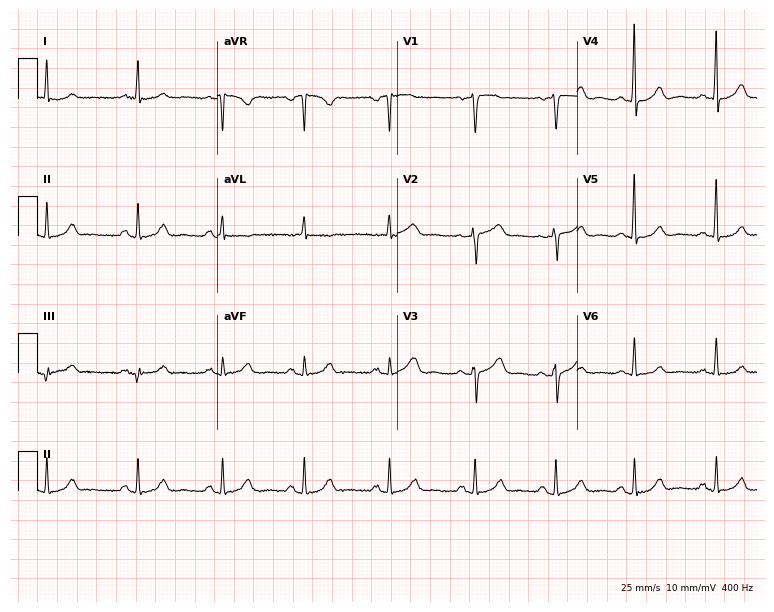
12-lead ECG (7.3-second recording at 400 Hz) from a 54-year-old woman. Labelled as a normal ECG.